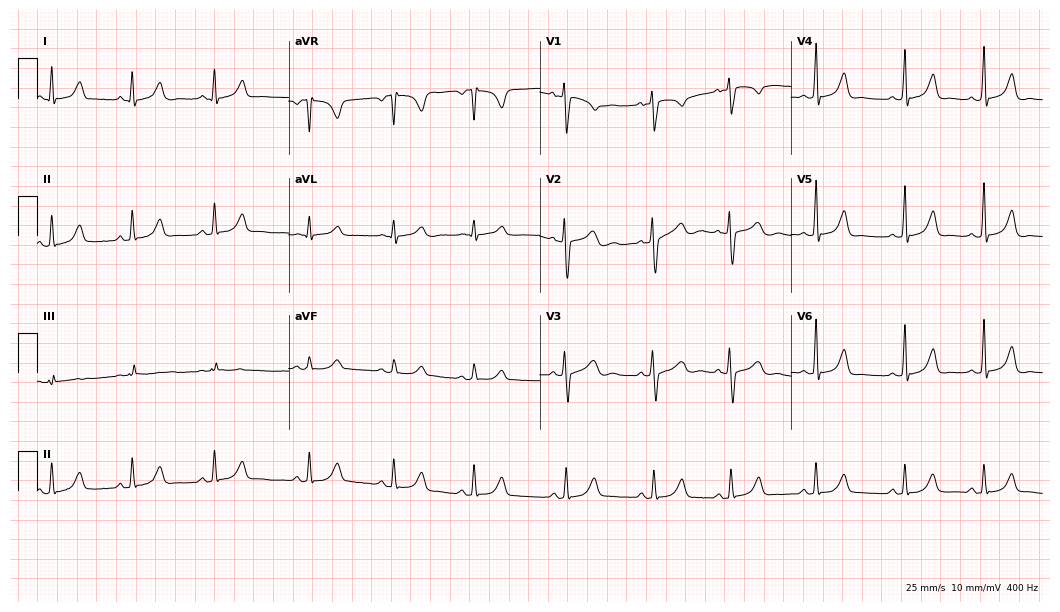
12-lead ECG from a female patient, 28 years old. Screened for six findings — first-degree AV block, right bundle branch block (RBBB), left bundle branch block (LBBB), sinus bradycardia, atrial fibrillation (AF), sinus tachycardia — none is recorded. Findings outside these six are not listed.